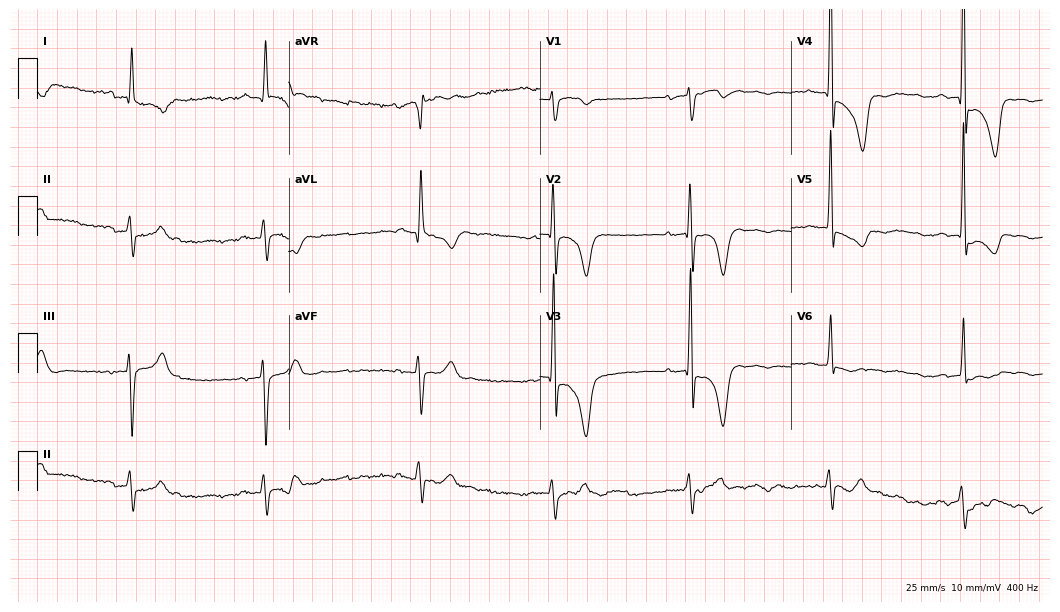
Resting 12-lead electrocardiogram. Patient: a male, 85 years old. The tracing shows first-degree AV block, sinus bradycardia (a sinus rate of 50 beats per minute or less).